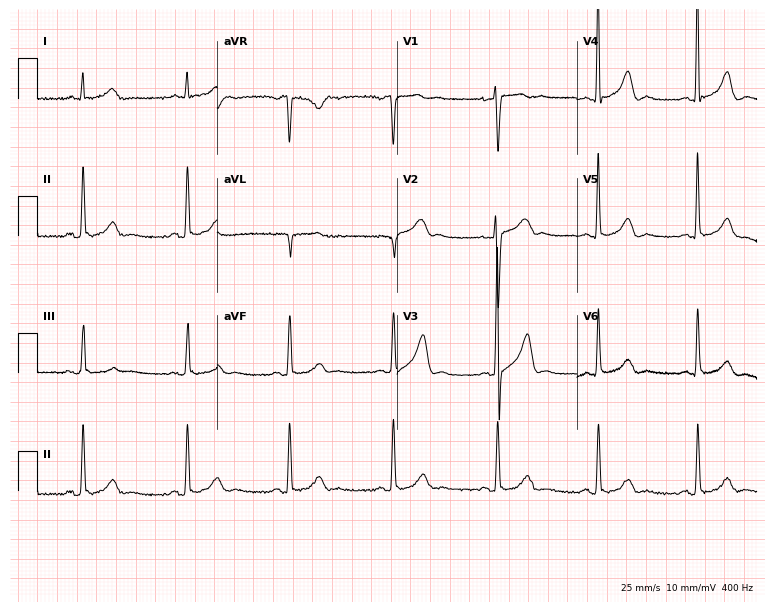
Resting 12-lead electrocardiogram (7.3-second recording at 400 Hz). Patient: a man, 40 years old. Read as a normal ECG.